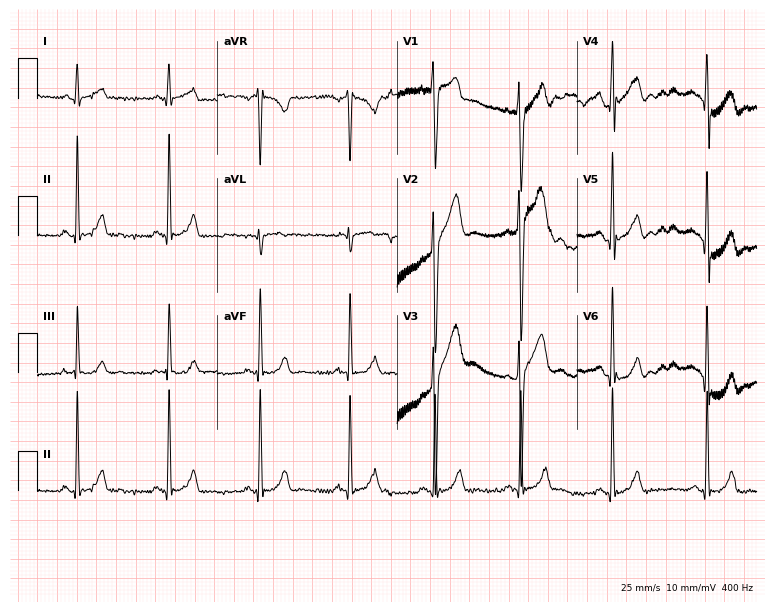
12-lead ECG from a 22-year-old male patient. Labelled as a normal ECG.